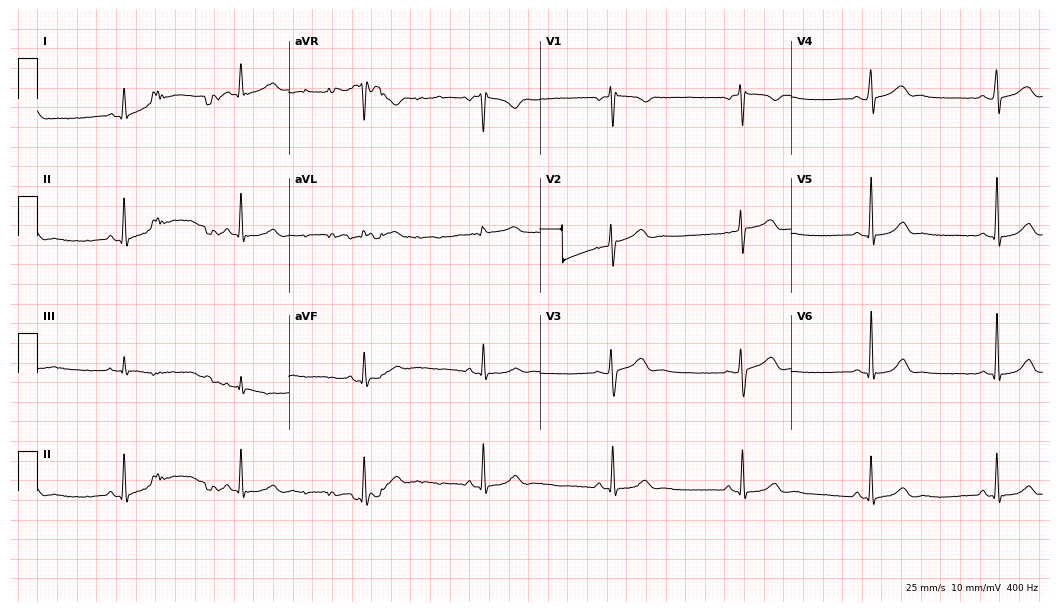
ECG (10.2-second recording at 400 Hz) — a 39-year-old female. Findings include atrial fibrillation (AF).